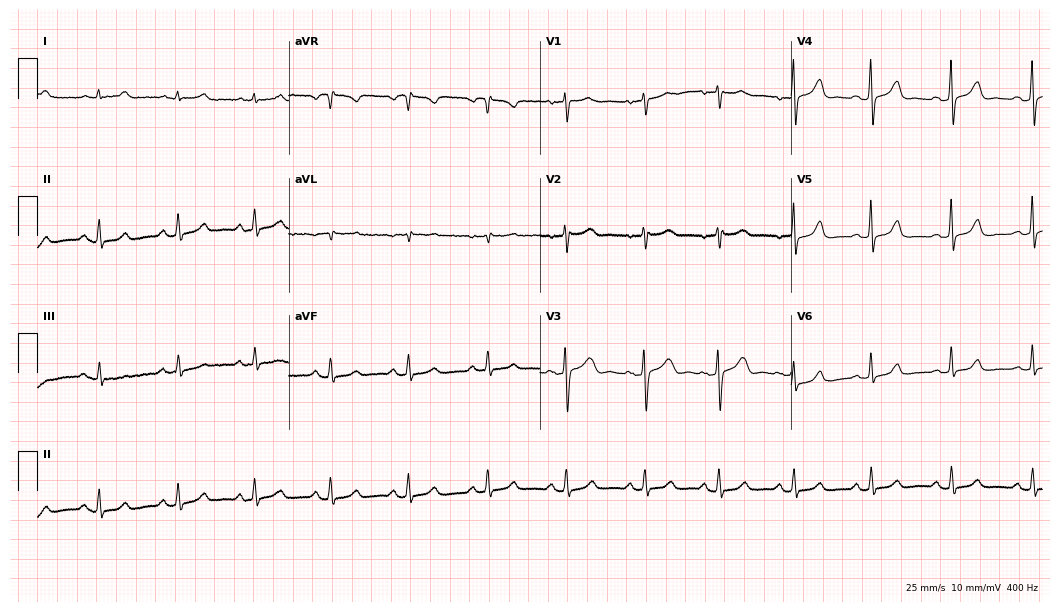
12-lead ECG from a 42-year-old female patient. No first-degree AV block, right bundle branch block, left bundle branch block, sinus bradycardia, atrial fibrillation or sinus tachycardia recorded for this tracing. Only these six findings were labelled.